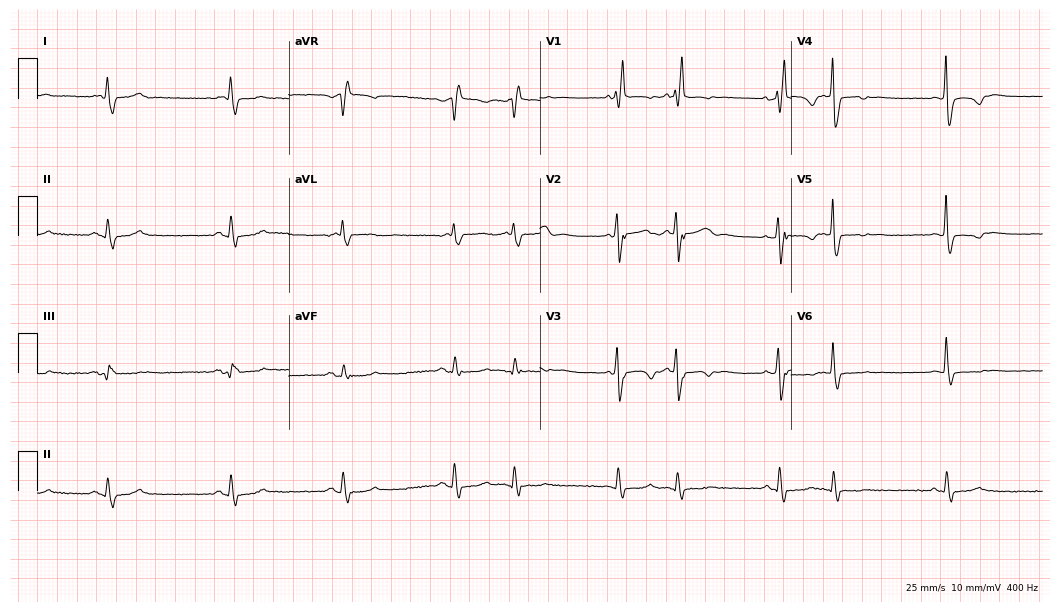
12-lead ECG from a female patient, 72 years old. Shows right bundle branch block.